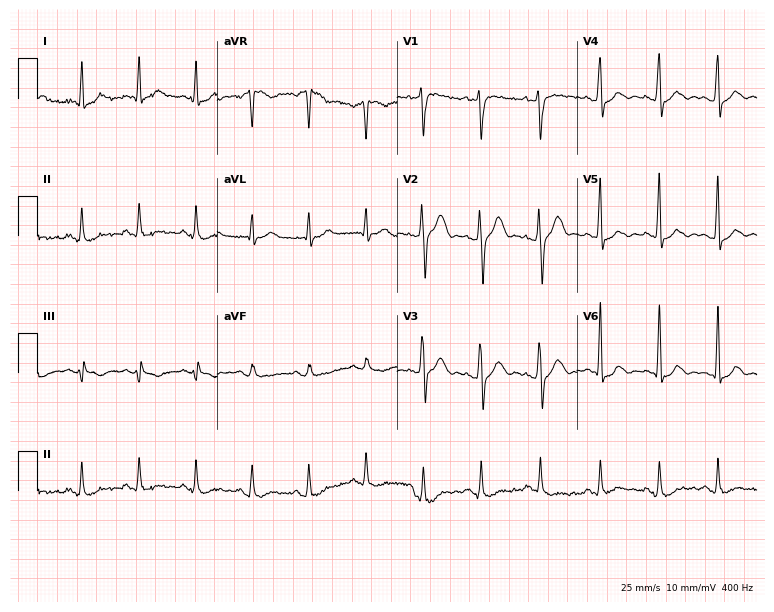
12-lead ECG from a 47-year-old man. Findings include sinus tachycardia (a sinus rate of 100 beats per minute or more).